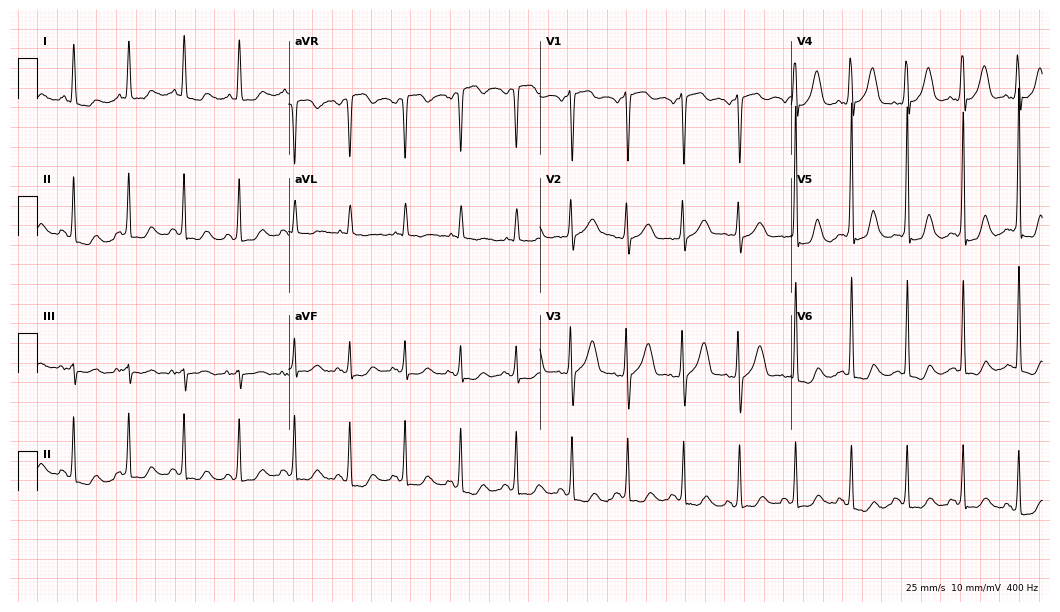
Electrocardiogram, an 82-year-old female patient. Interpretation includes sinus tachycardia (a sinus rate of 100 beats per minute or more).